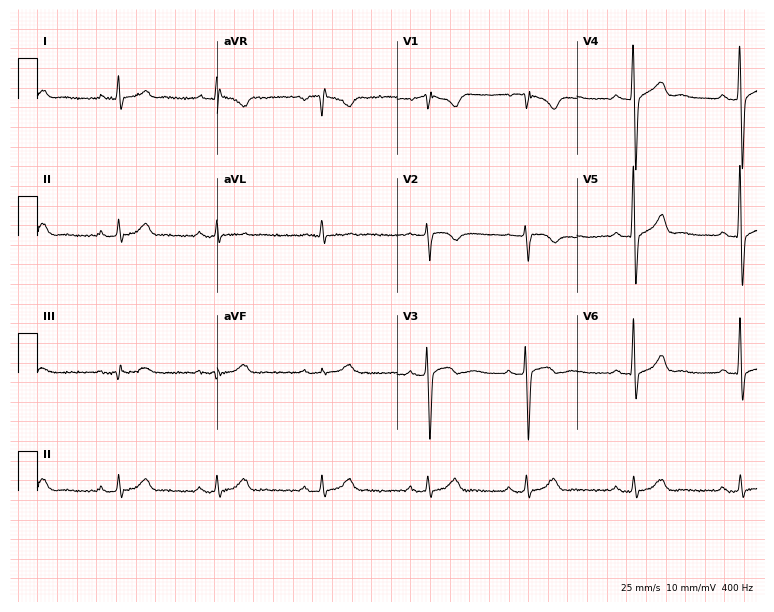
ECG — a 53-year-old male patient. Labelled as a normal ECG.